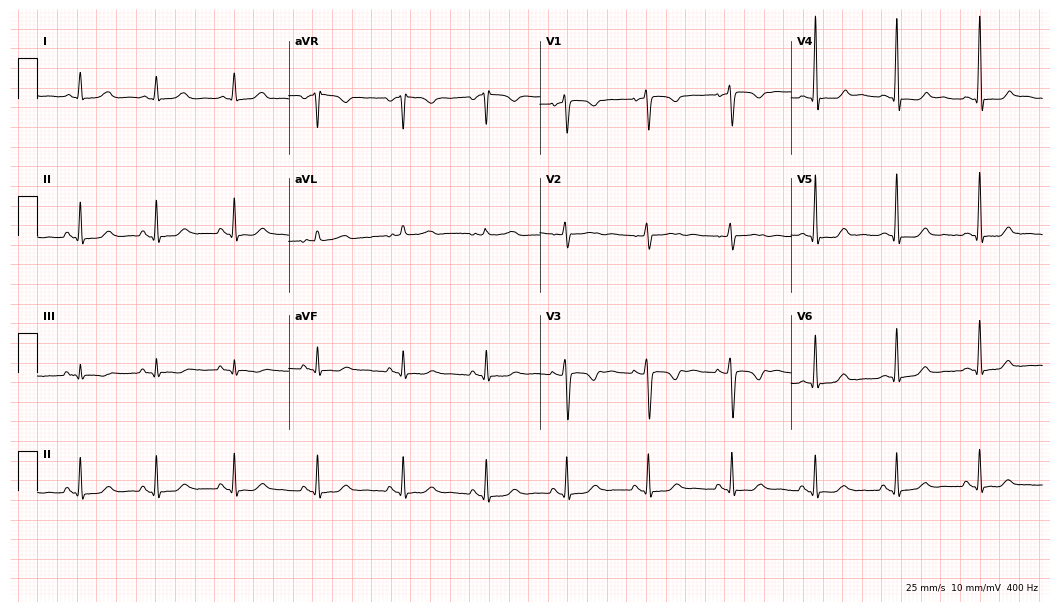
Electrocardiogram (10.2-second recording at 400 Hz), a female, 35 years old. Overall reading on record: normal ECG.